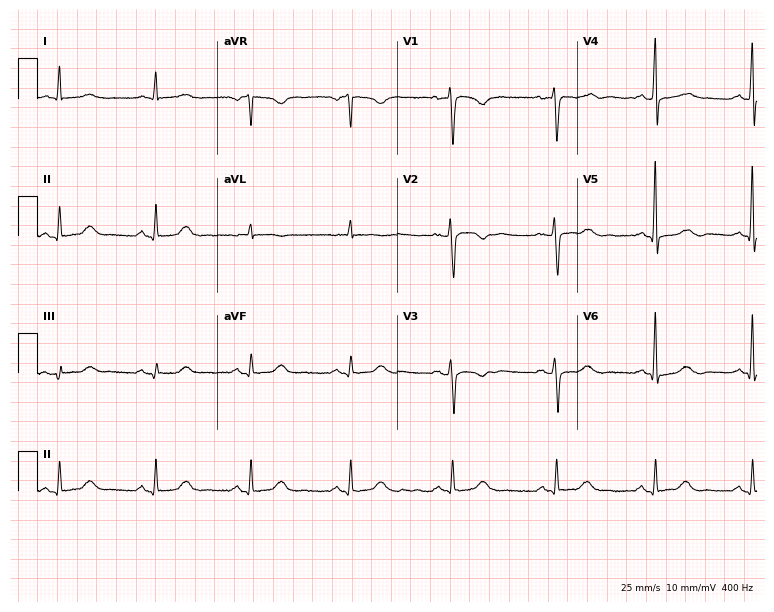
12-lead ECG from a 56-year-old woman. No first-degree AV block, right bundle branch block, left bundle branch block, sinus bradycardia, atrial fibrillation or sinus tachycardia recorded for this tracing. Only these six findings were labelled.